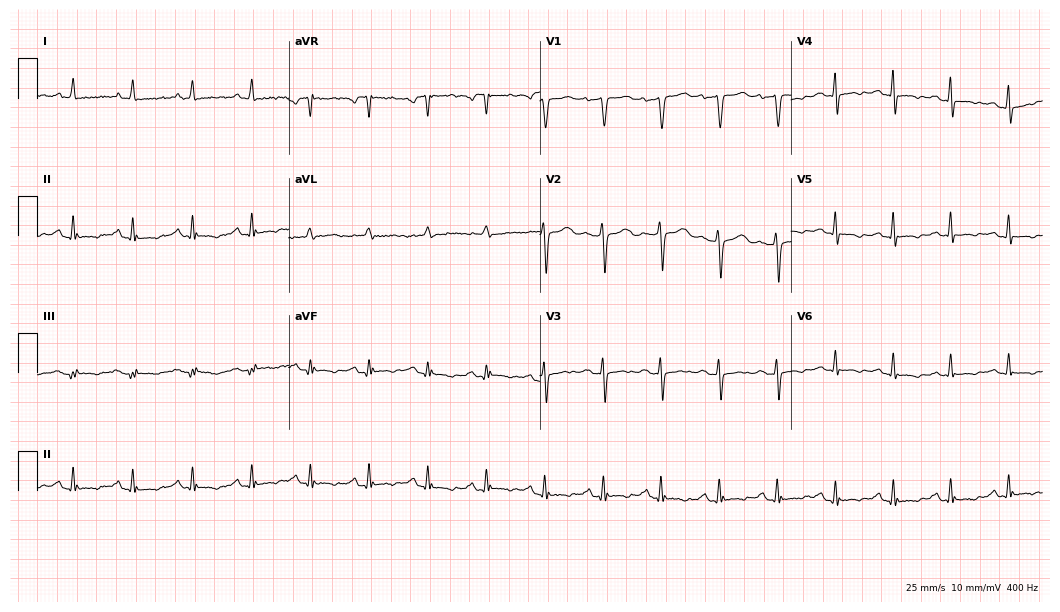
Electrocardiogram (10.2-second recording at 400 Hz), a 58-year-old female patient. Of the six screened findings (first-degree AV block, right bundle branch block (RBBB), left bundle branch block (LBBB), sinus bradycardia, atrial fibrillation (AF), sinus tachycardia), none is recorded.